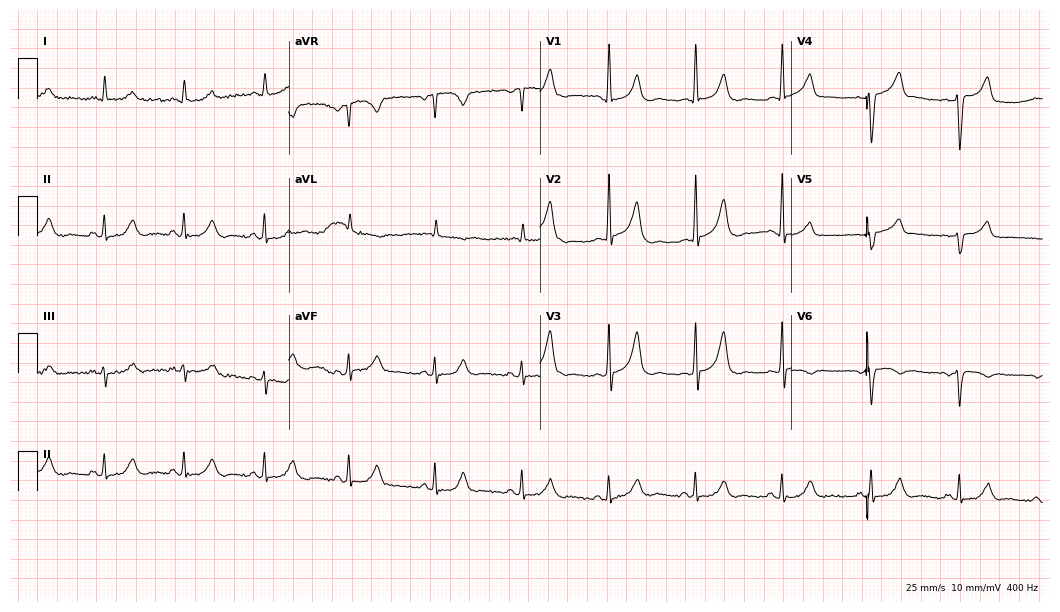
12-lead ECG from a 66-year-old male. No first-degree AV block, right bundle branch block (RBBB), left bundle branch block (LBBB), sinus bradycardia, atrial fibrillation (AF) or sinus tachycardia recorded for this tracing.